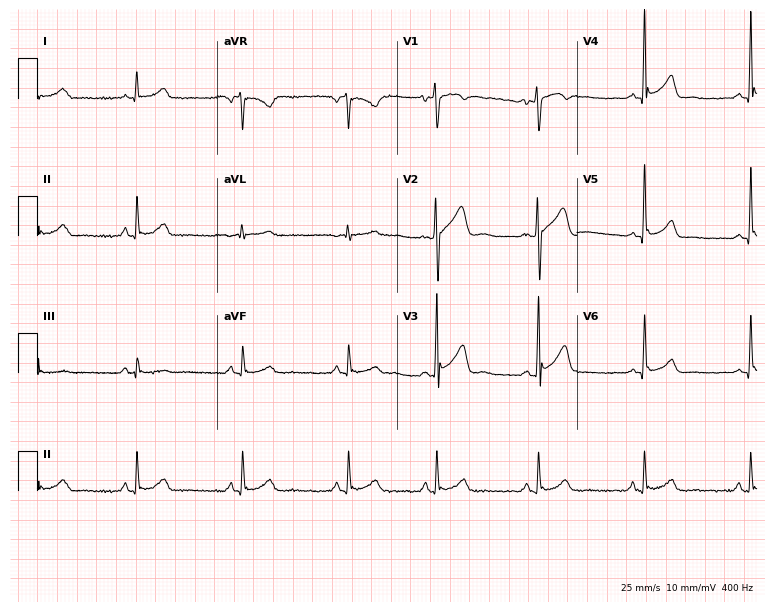
12-lead ECG from a man, 43 years old (7.3-second recording at 400 Hz). No first-degree AV block, right bundle branch block, left bundle branch block, sinus bradycardia, atrial fibrillation or sinus tachycardia recorded for this tracing. Findings outside these six are not listed.